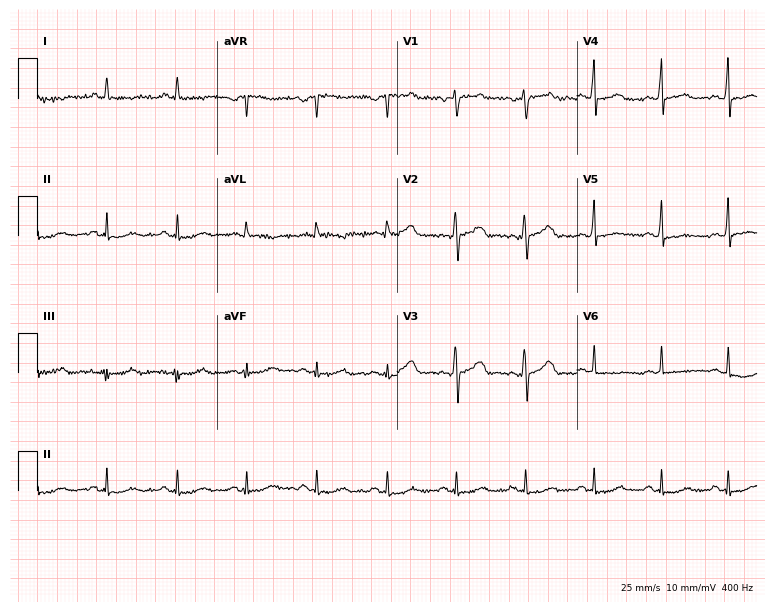
12-lead ECG from a female, 44 years old (7.3-second recording at 400 Hz). No first-degree AV block, right bundle branch block (RBBB), left bundle branch block (LBBB), sinus bradycardia, atrial fibrillation (AF) or sinus tachycardia recorded for this tracing.